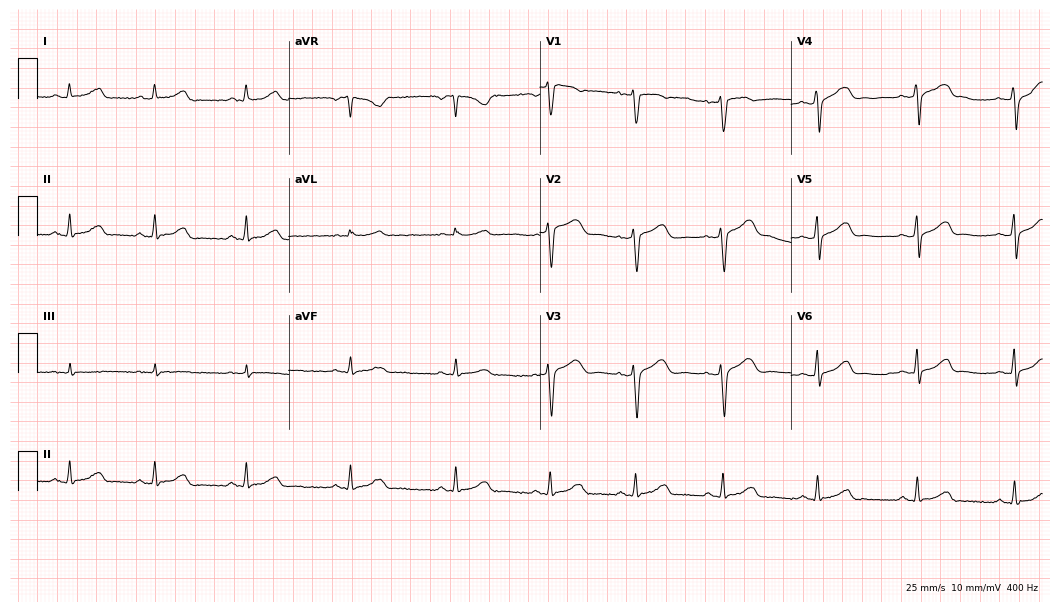
12-lead ECG from a 50-year-old woman. Recorded interpretation: within normal limits.